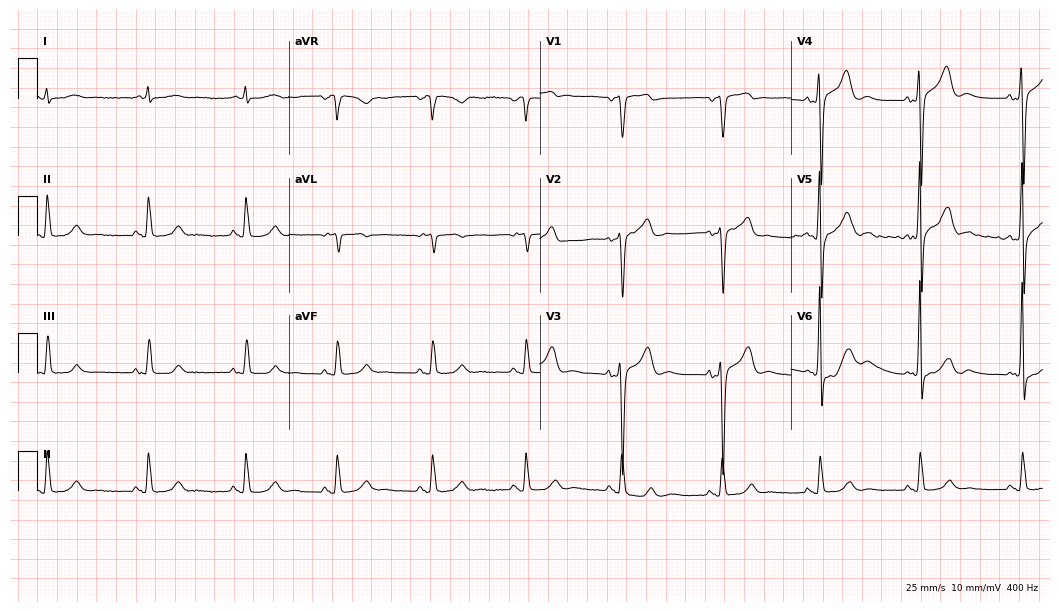
Resting 12-lead electrocardiogram (10.2-second recording at 400 Hz). Patient: a man, 75 years old. Read as a normal ECG.